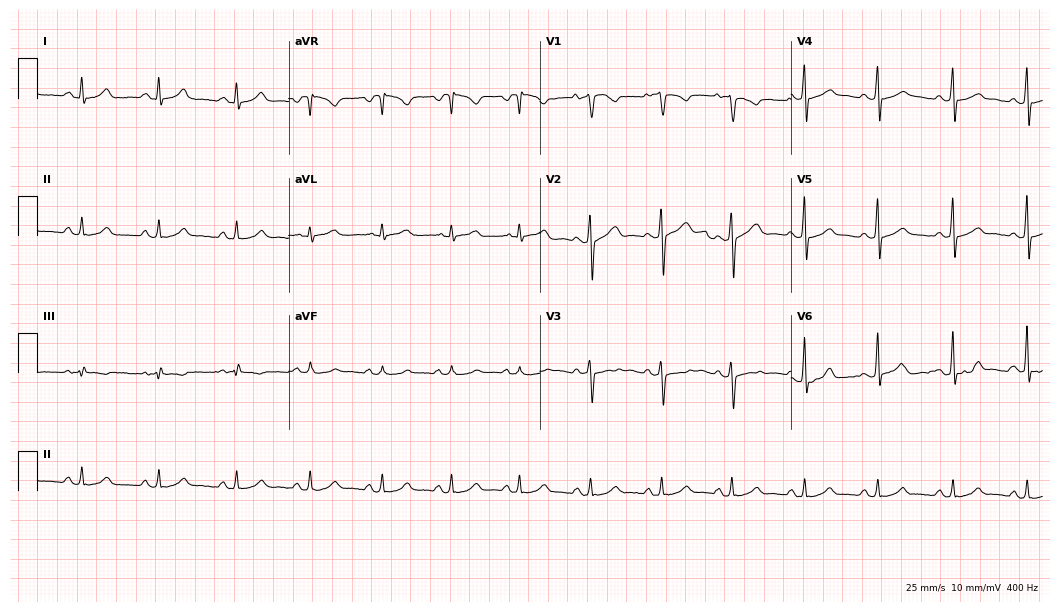
12-lead ECG from a female patient, 25 years old (10.2-second recording at 400 Hz). Recorded interpretation: within normal limits.